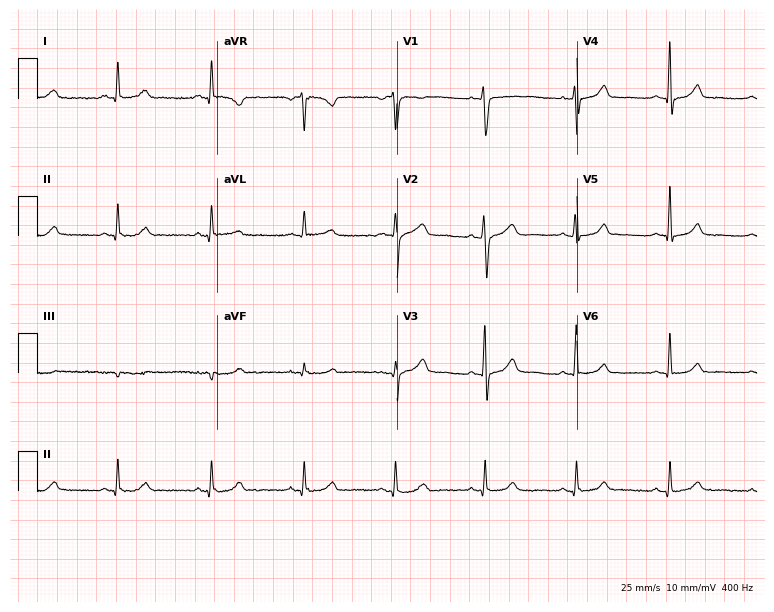
Resting 12-lead electrocardiogram. Patient: a female, 55 years old. Read as a normal ECG.